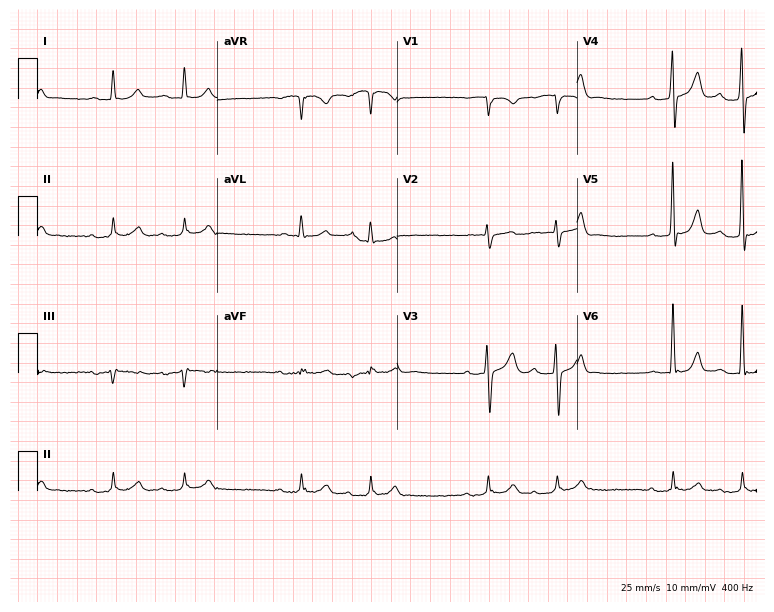
12-lead ECG from a 74-year-old man. Findings include first-degree AV block.